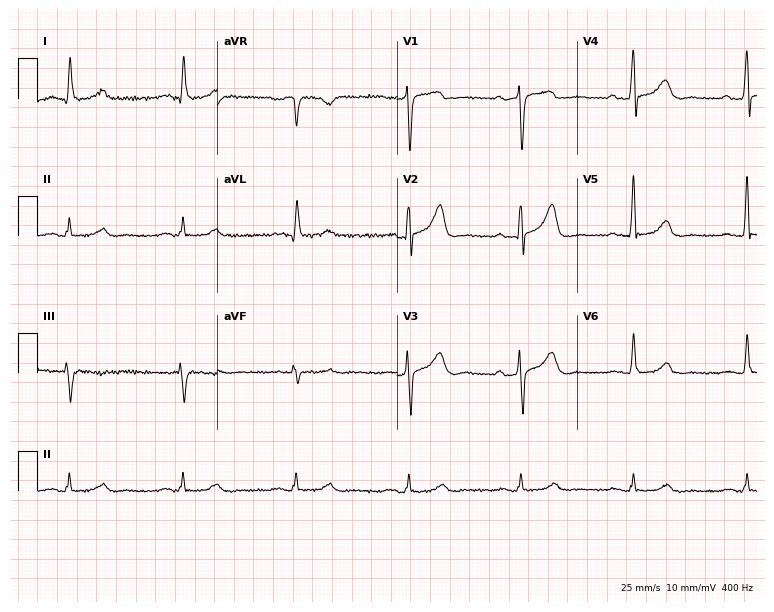
12-lead ECG from a 67-year-old man. Screened for six findings — first-degree AV block, right bundle branch block, left bundle branch block, sinus bradycardia, atrial fibrillation, sinus tachycardia — none is recorded. Only these six findings were labelled.